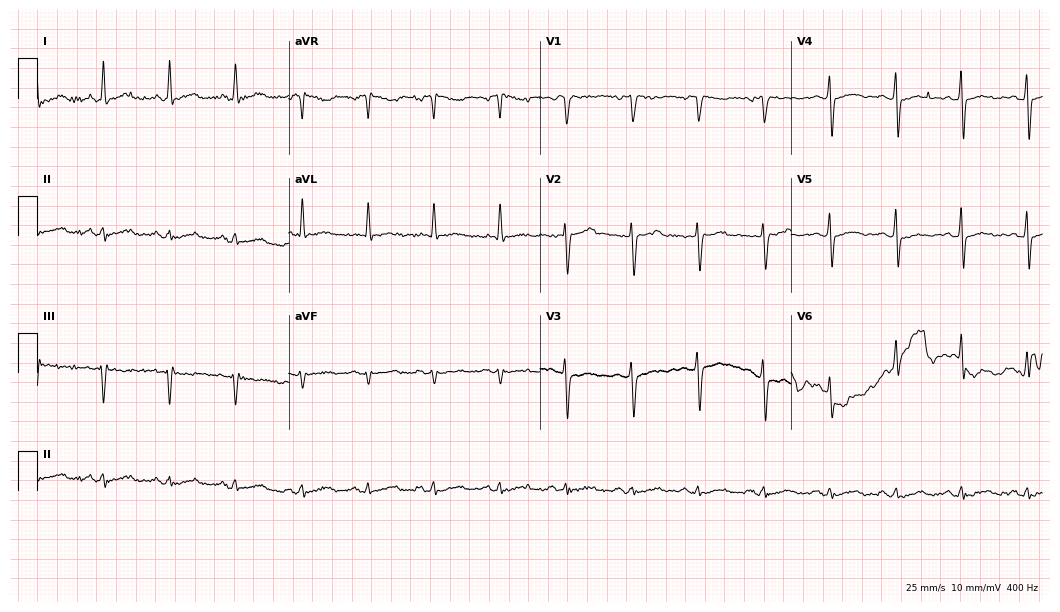
Resting 12-lead electrocardiogram. Patient: a 50-year-old female. None of these six findings is recorded: first-degree AV block, right bundle branch block, left bundle branch block, sinus bradycardia, atrial fibrillation, sinus tachycardia. Findings outside these six are not listed.